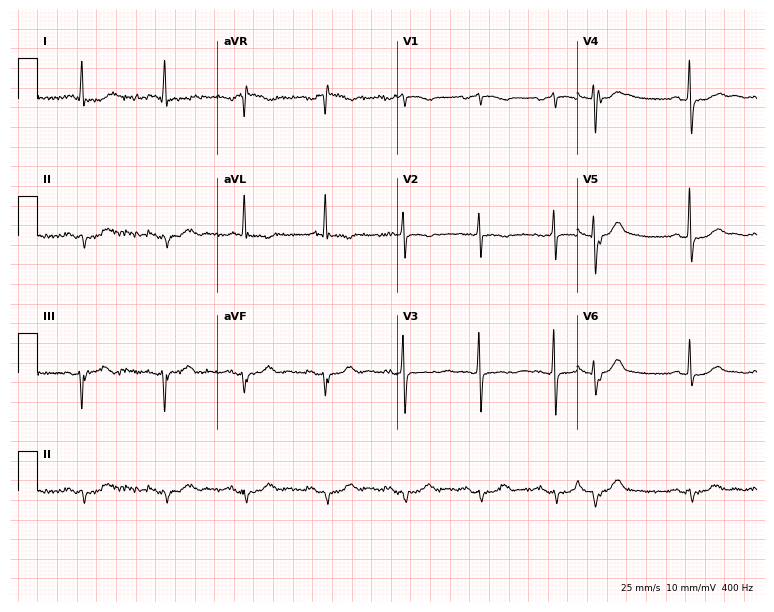
Standard 12-lead ECG recorded from a woman, 83 years old. None of these six findings is recorded: first-degree AV block, right bundle branch block, left bundle branch block, sinus bradycardia, atrial fibrillation, sinus tachycardia.